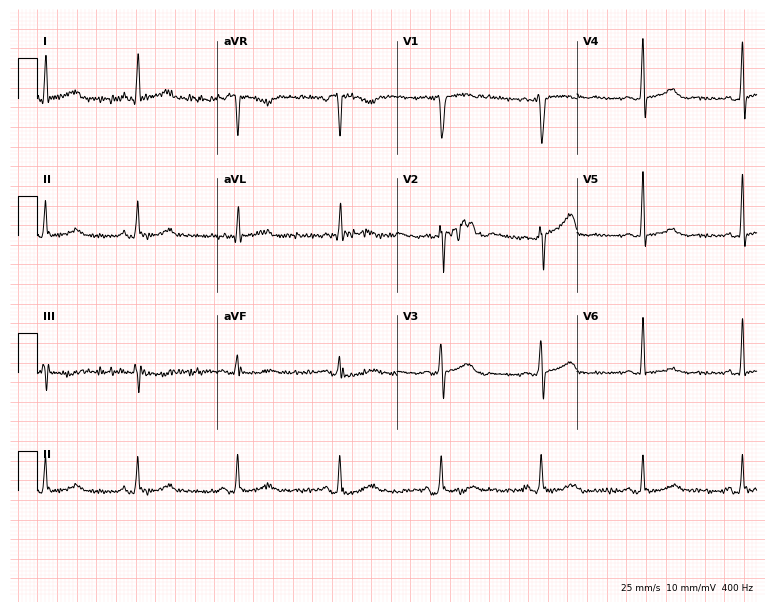
Standard 12-lead ECG recorded from a female patient, 51 years old (7.3-second recording at 400 Hz). Read as a normal ECG.